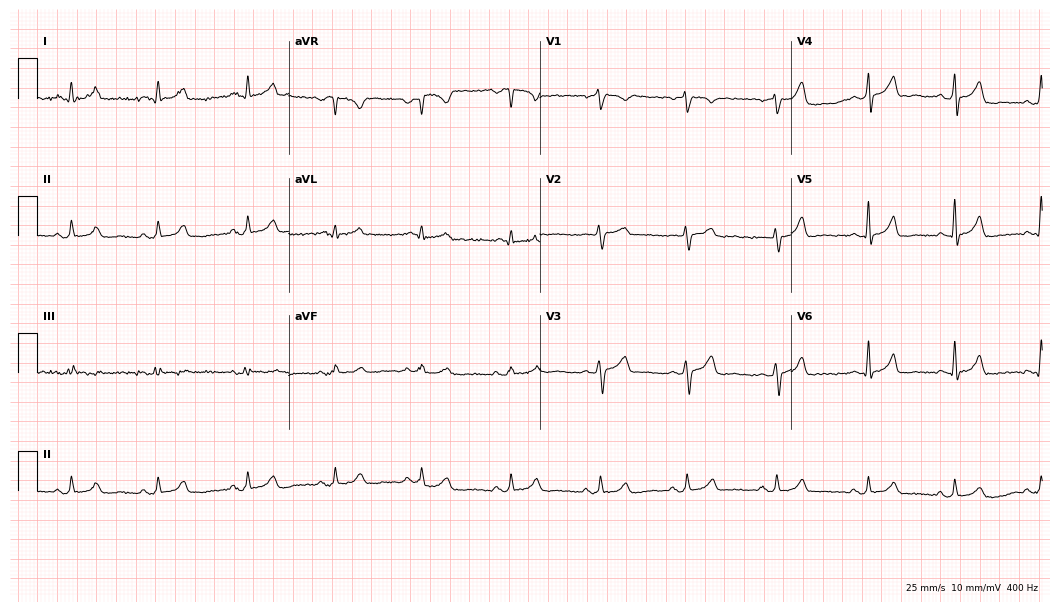
Electrocardiogram (10.2-second recording at 400 Hz), a 40-year-old woman. Of the six screened findings (first-degree AV block, right bundle branch block, left bundle branch block, sinus bradycardia, atrial fibrillation, sinus tachycardia), none is recorded. Only these six findings were labelled.